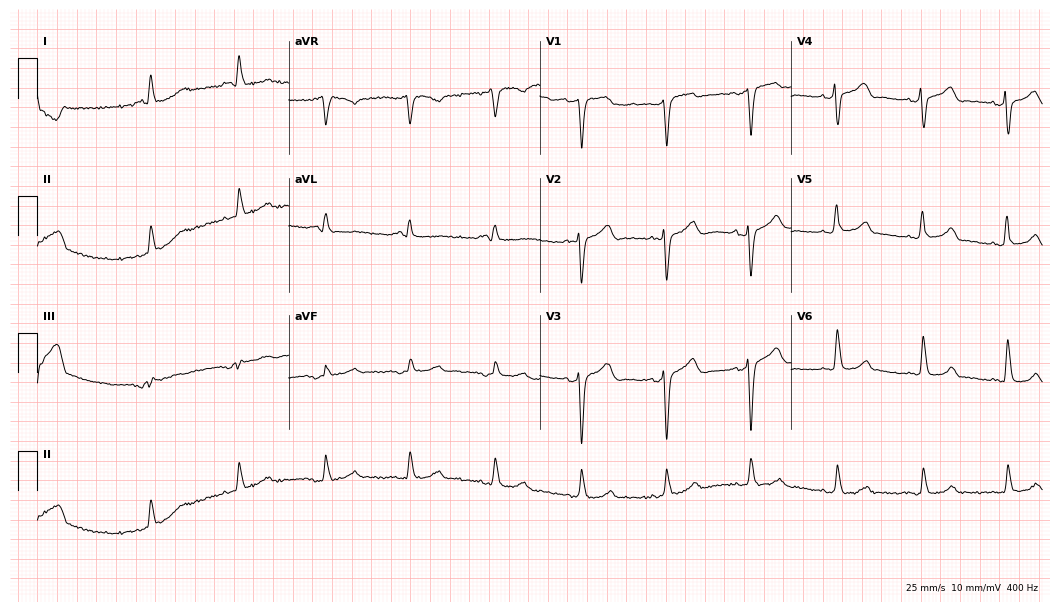
12-lead ECG from a male, 51 years old. No first-degree AV block, right bundle branch block, left bundle branch block, sinus bradycardia, atrial fibrillation or sinus tachycardia recorded for this tracing. Only these six findings were labelled.